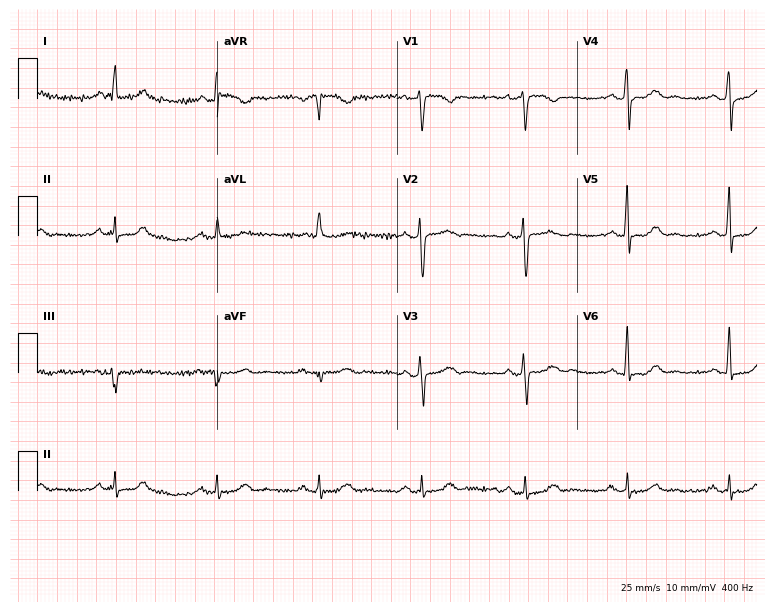
Electrocardiogram, a 59-year-old male. Of the six screened findings (first-degree AV block, right bundle branch block, left bundle branch block, sinus bradycardia, atrial fibrillation, sinus tachycardia), none is recorded.